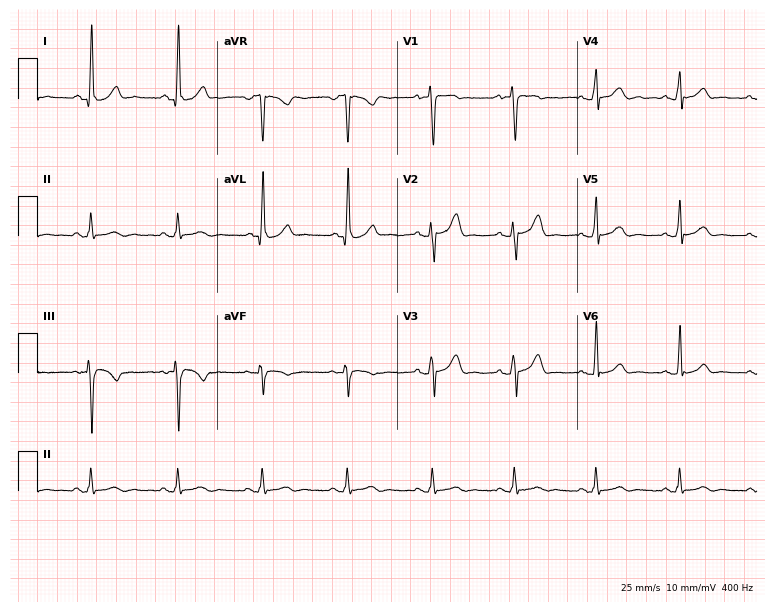
12-lead ECG from a male patient, 31 years old. Recorded interpretation: within normal limits.